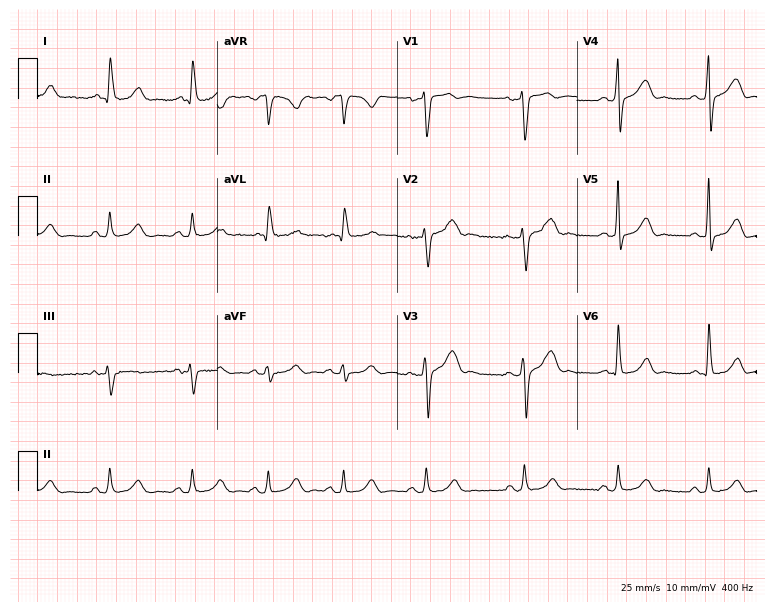
ECG (7.3-second recording at 400 Hz) — a female, 70 years old. Screened for six findings — first-degree AV block, right bundle branch block, left bundle branch block, sinus bradycardia, atrial fibrillation, sinus tachycardia — none is recorded. Only these six findings were labelled.